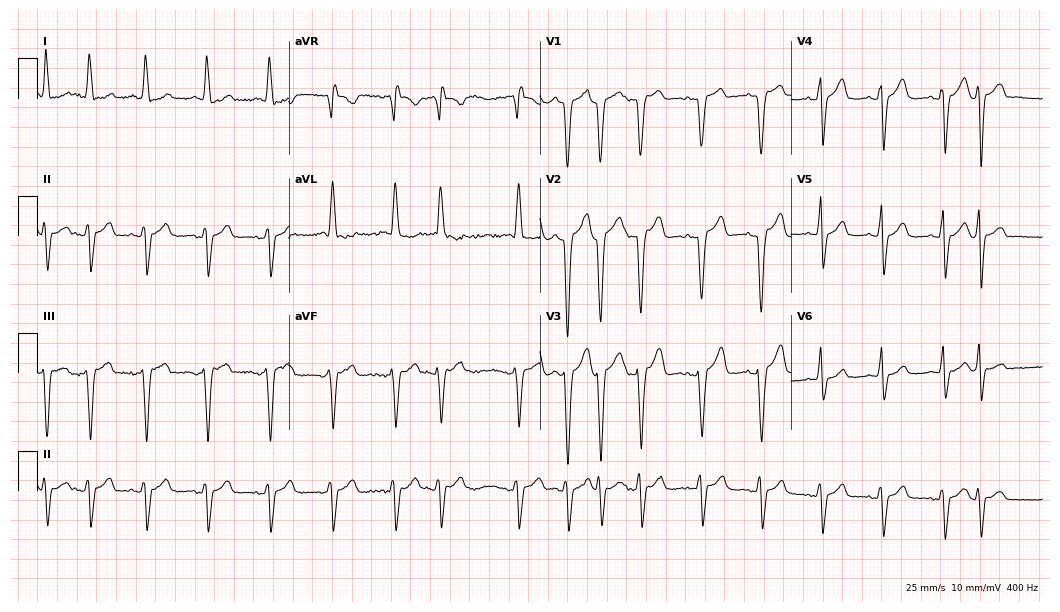
Standard 12-lead ECG recorded from a 78-year-old female patient. None of these six findings is recorded: first-degree AV block, right bundle branch block (RBBB), left bundle branch block (LBBB), sinus bradycardia, atrial fibrillation (AF), sinus tachycardia.